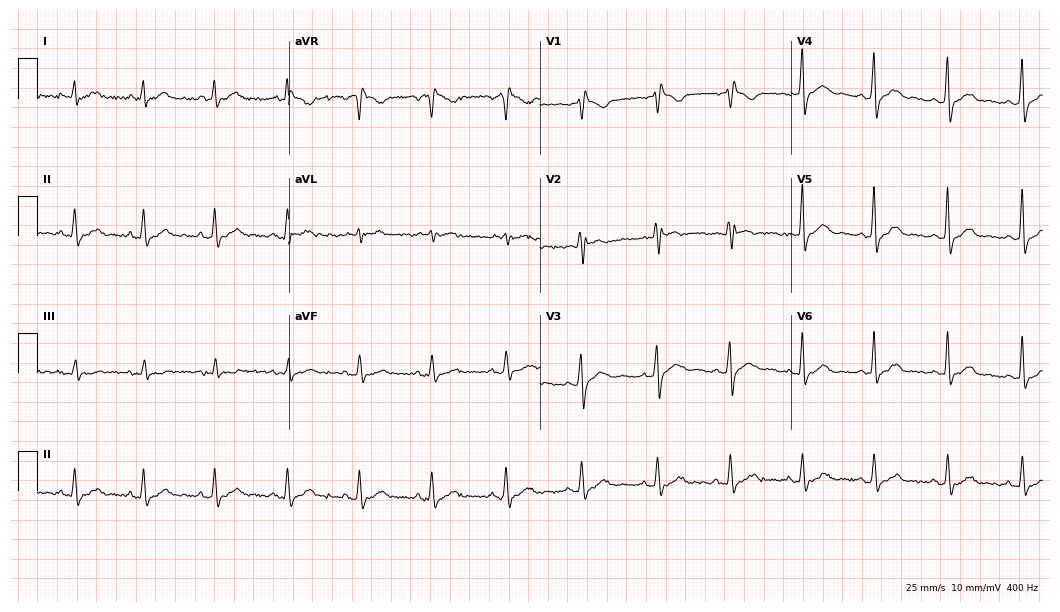
Standard 12-lead ECG recorded from a 55-year-old male (10.2-second recording at 400 Hz). None of these six findings is recorded: first-degree AV block, right bundle branch block, left bundle branch block, sinus bradycardia, atrial fibrillation, sinus tachycardia. Findings outside these six are not listed.